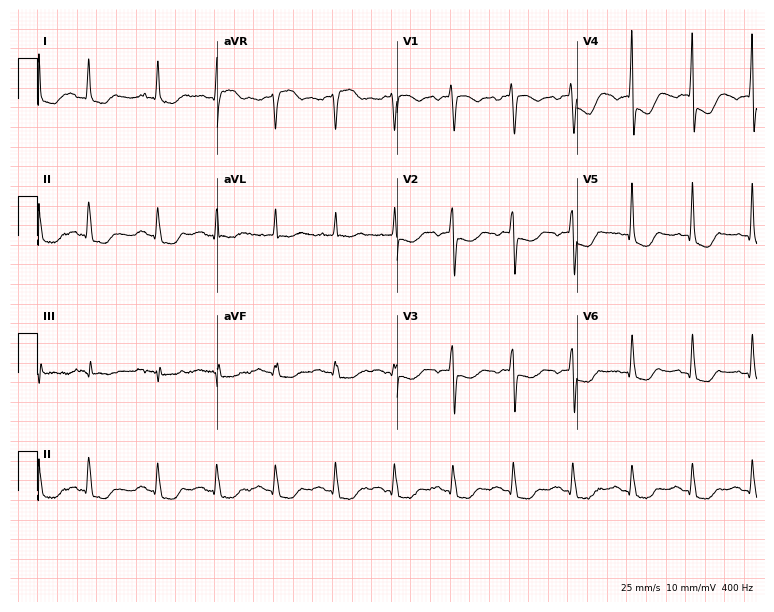
Resting 12-lead electrocardiogram (7.3-second recording at 400 Hz). Patient: a woman, 74 years old. None of these six findings is recorded: first-degree AV block, right bundle branch block, left bundle branch block, sinus bradycardia, atrial fibrillation, sinus tachycardia.